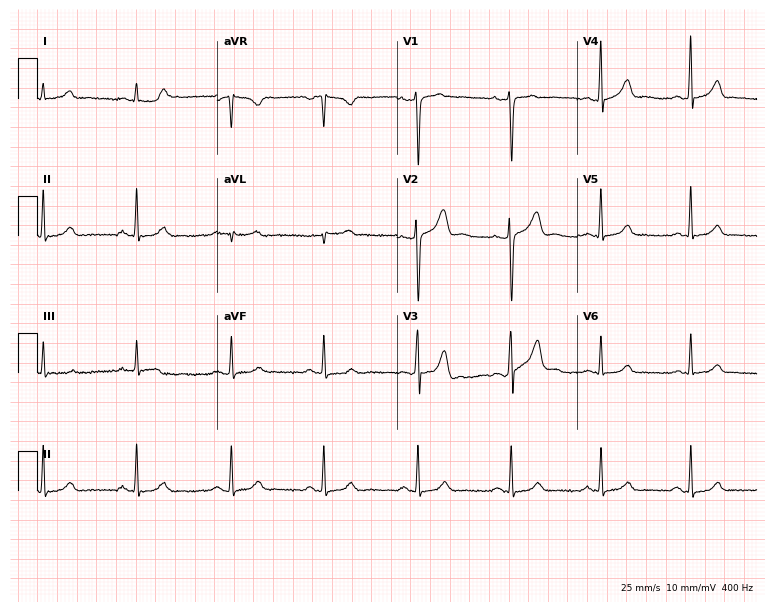
Standard 12-lead ECG recorded from a 49-year-old man (7.3-second recording at 400 Hz). None of these six findings is recorded: first-degree AV block, right bundle branch block, left bundle branch block, sinus bradycardia, atrial fibrillation, sinus tachycardia. Findings outside these six are not listed.